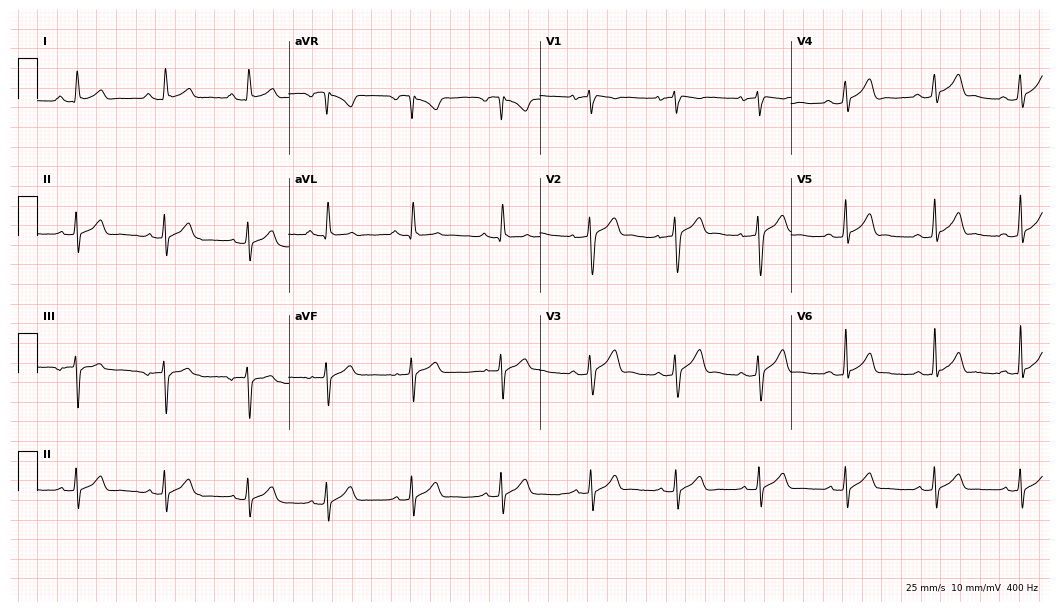
Electrocardiogram, a man, 26 years old. Overall reading on record: normal ECG.